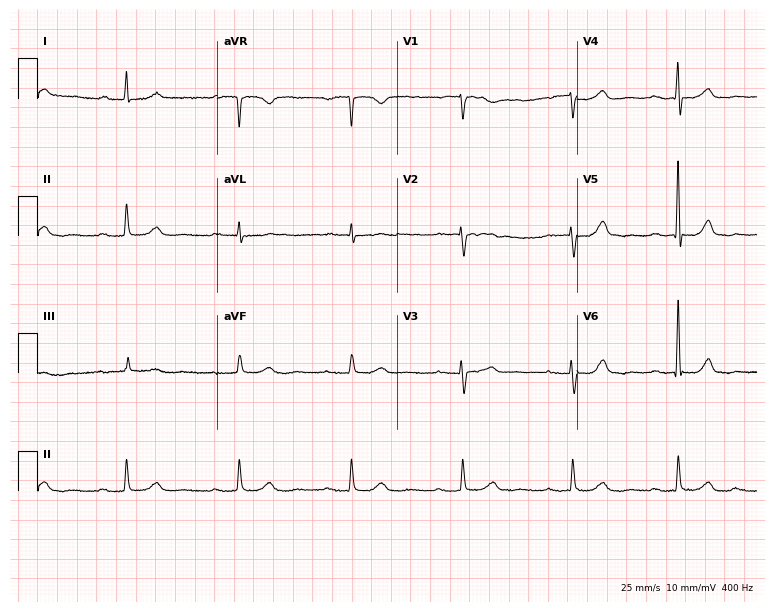
ECG — a female patient, 80 years old. Findings include first-degree AV block.